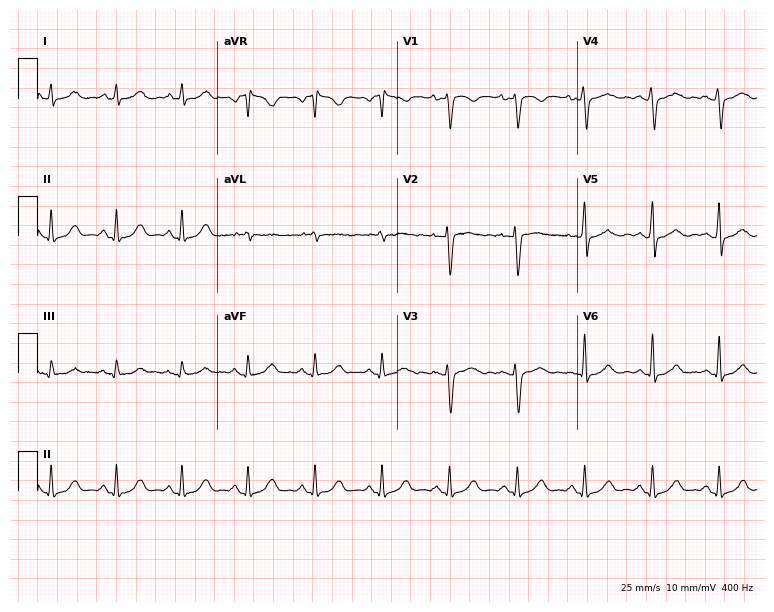
Electrocardiogram (7.3-second recording at 400 Hz), a woman, 49 years old. Overall reading on record: normal ECG.